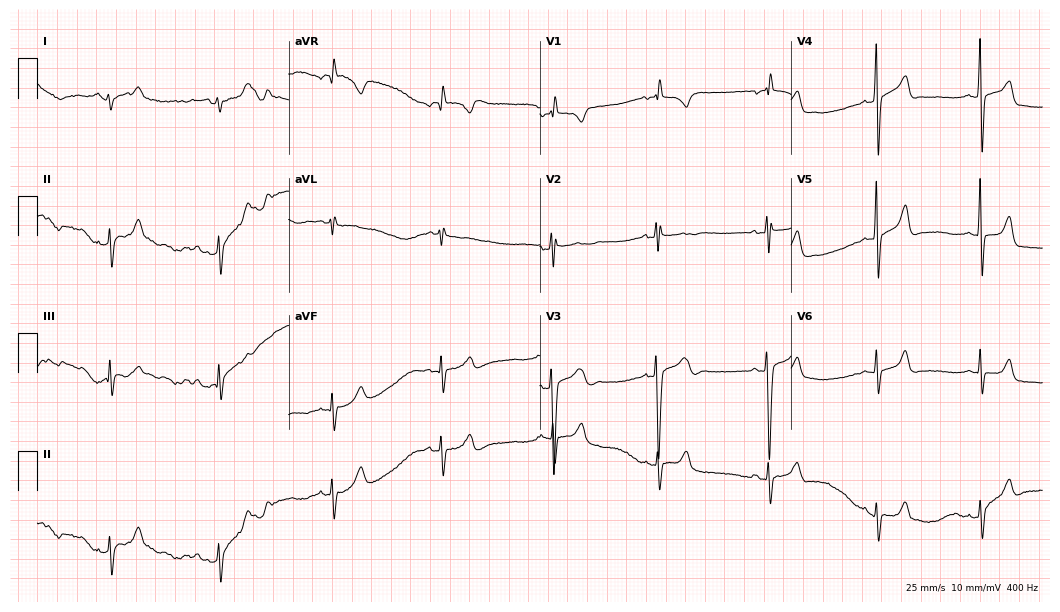
12-lead ECG from a female patient, 17 years old. No first-degree AV block, right bundle branch block, left bundle branch block, sinus bradycardia, atrial fibrillation or sinus tachycardia recorded for this tracing.